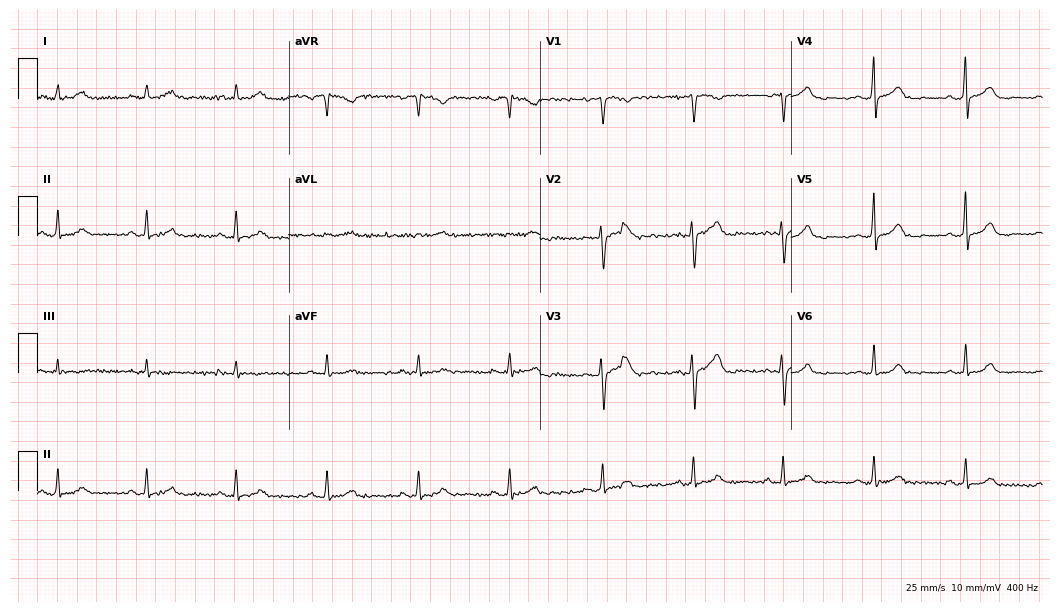
12-lead ECG from a 29-year-old female patient. Screened for six findings — first-degree AV block, right bundle branch block, left bundle branch block, sinus bradycardia, atrial fibrillation, sinus tachycardia — none is recorded. Findings outside these six are not listed.